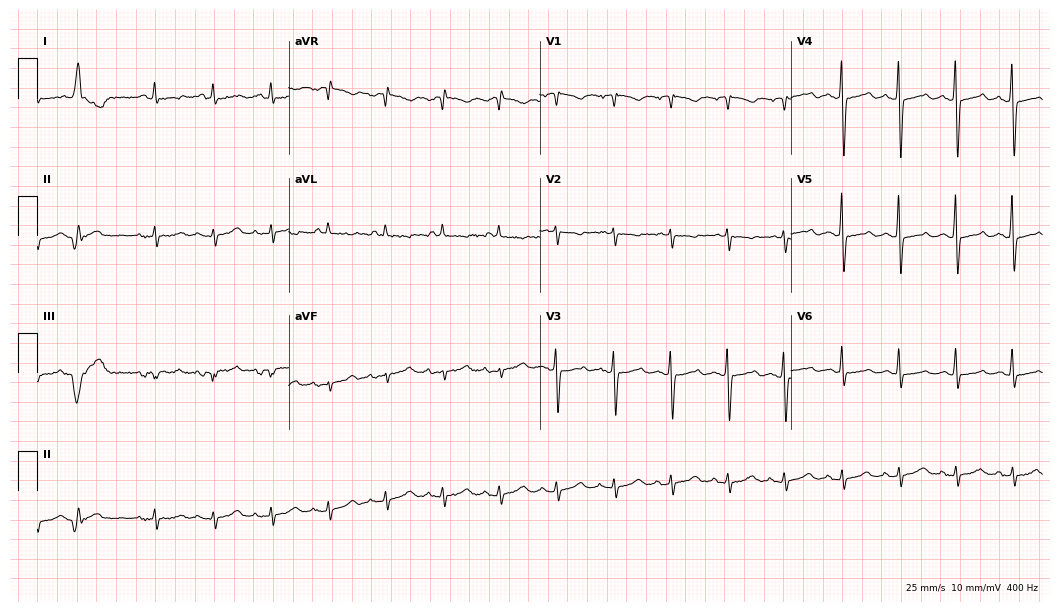
Standard 12-lead ECG recorded from a 75-year-old female. The tracing shows sinus tachycardia (a sinus rate of 100 beats per minute or more).